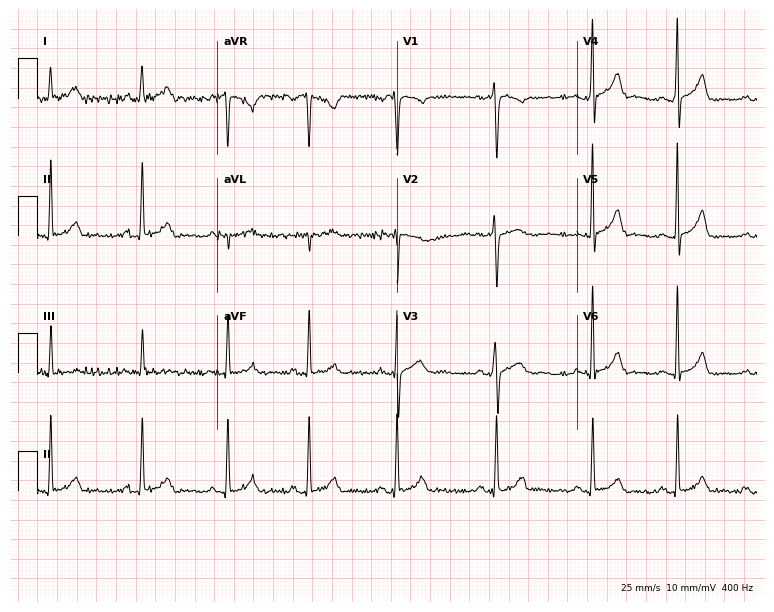
12-lead ECG from a woman, 25 years old (7.3-second recording at 400 Hz). Recorded interpretation: within normal limits.